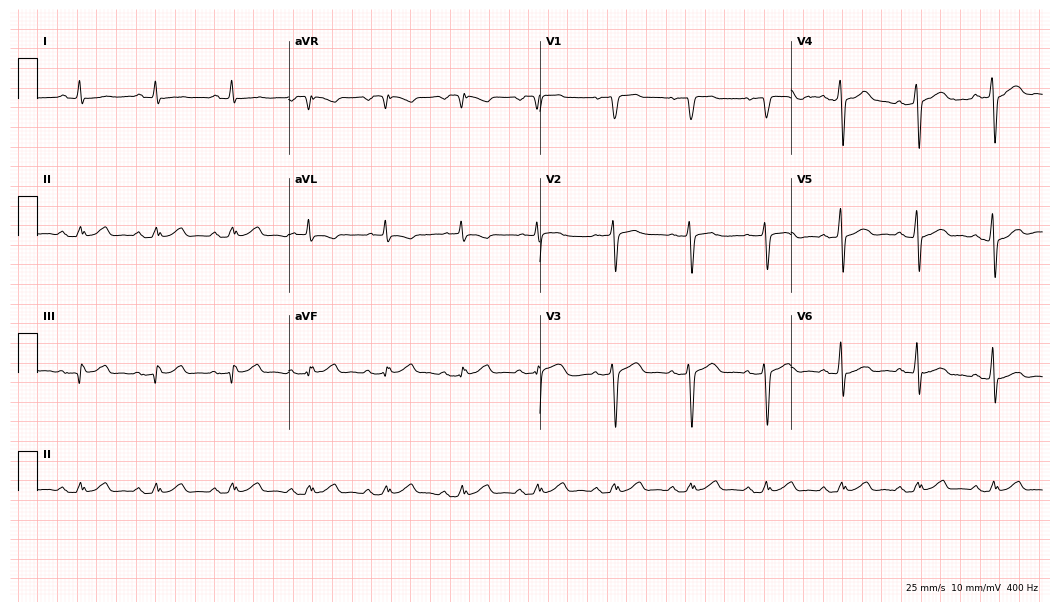
12-lead ECG (10.2-second recording at 400 Hz) from a man, 62 years old. Screened for six findings — first-degree AV block, right bundle branch block, left bundle branch block, sinus bradycardia, atrial fibrillation, sinus tachycardia — none is recorded. Other findings, if any, are not listed.